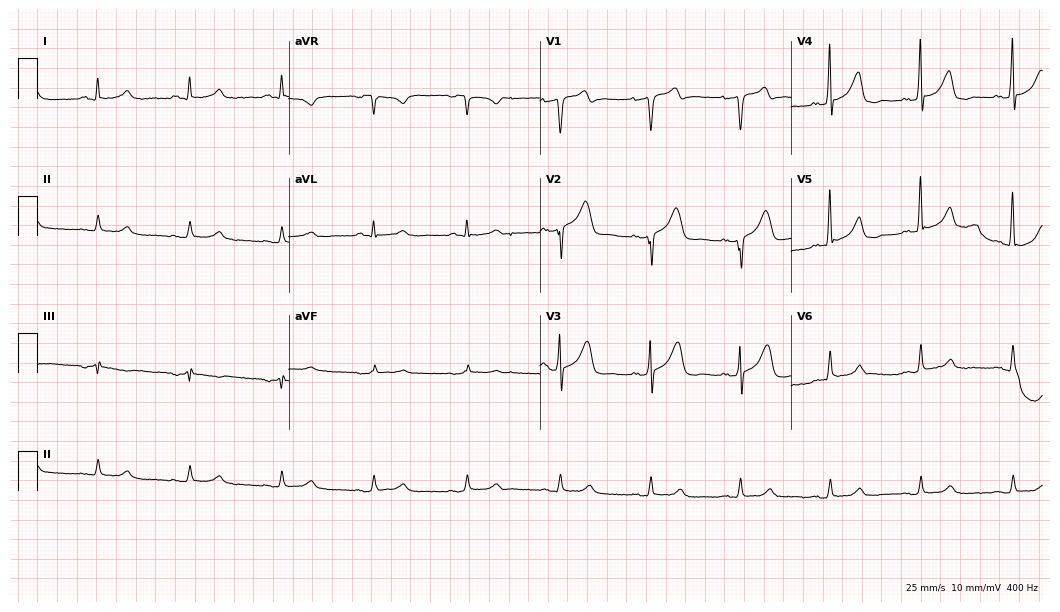
Standard 12-lead ECG recorded from a 72-year-old male patient. None of these six findings is recorded: first-degree AV block, right bundle branch block, left bundle branch block, sinus bradycardia, atrial fibrillation, sinus tachycardia.